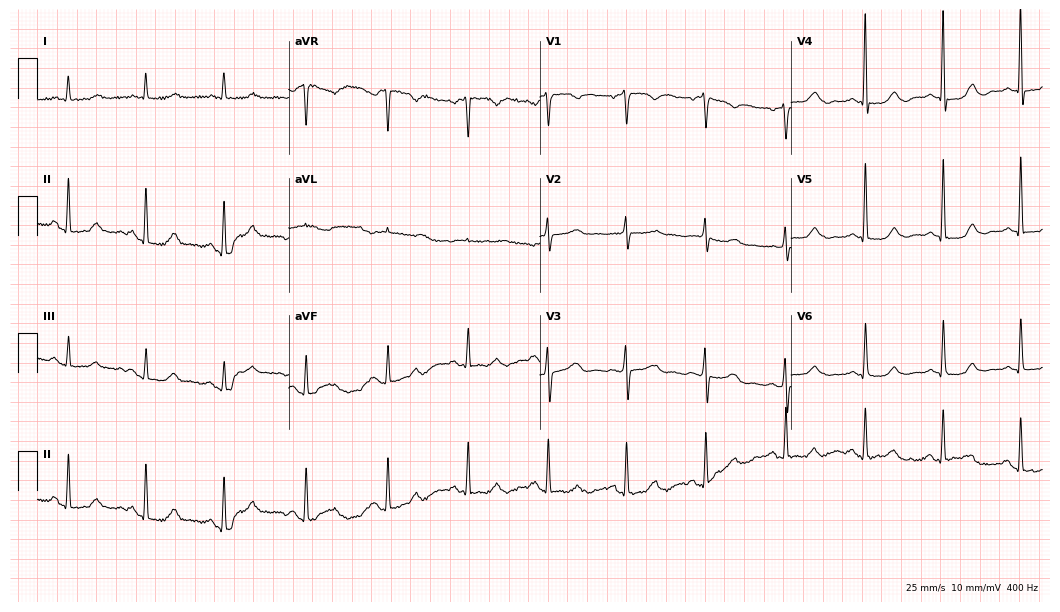
Resting 12-lead electrocardiogram. Patient: a 69-year-old female. Read as a normal ECG.